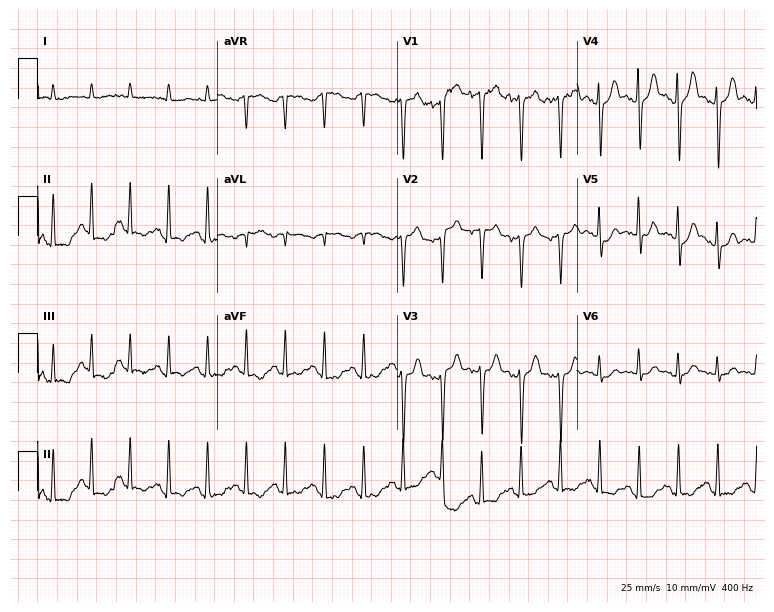
12-lead ECG from a male, 38 years old. Screened for six findings — first-degree AV block, right bundle branch block (RBBB), left bundle branch block (LBBB), sinus bradycardia, atrial fibrillation (AF), sinus tachycardia — none is recorded.